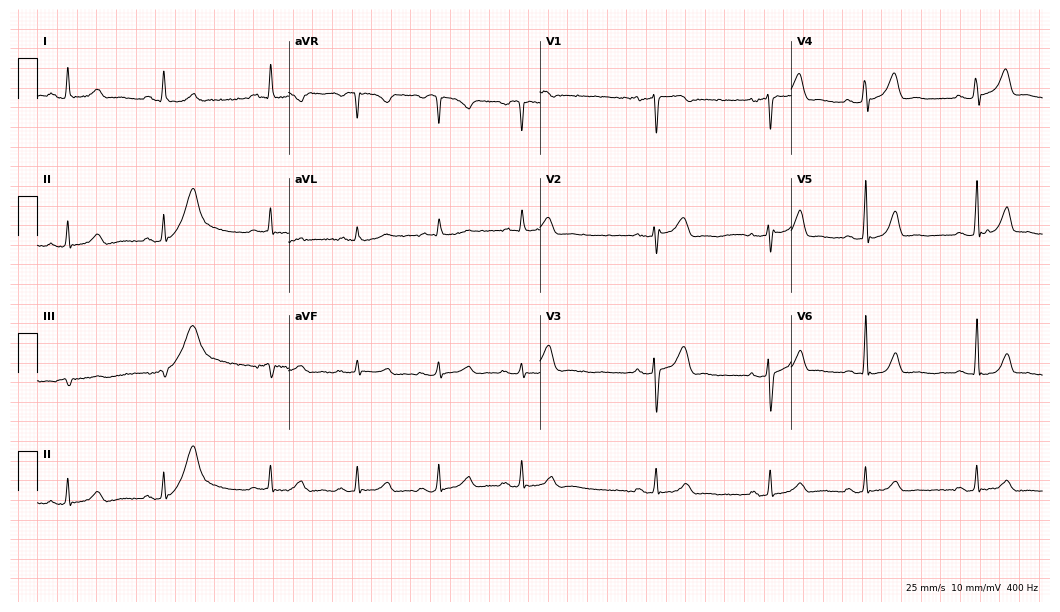
ECG (10.2-second recording at 400 Hz) — a female patient, 43 years old. Labelled as a normal ECG.